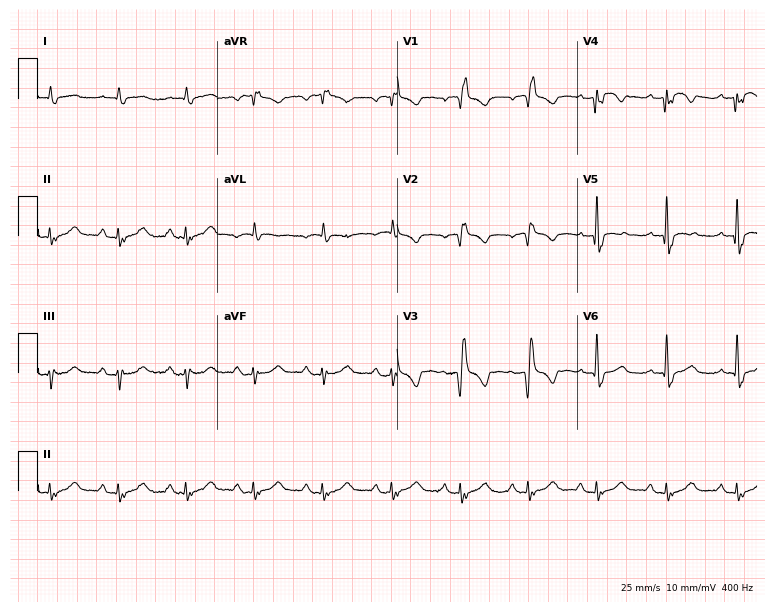
ECG (7.3-second recording at 400 Hz) — a male, 84 years old. Findings include right bundle branch block (RBBB).